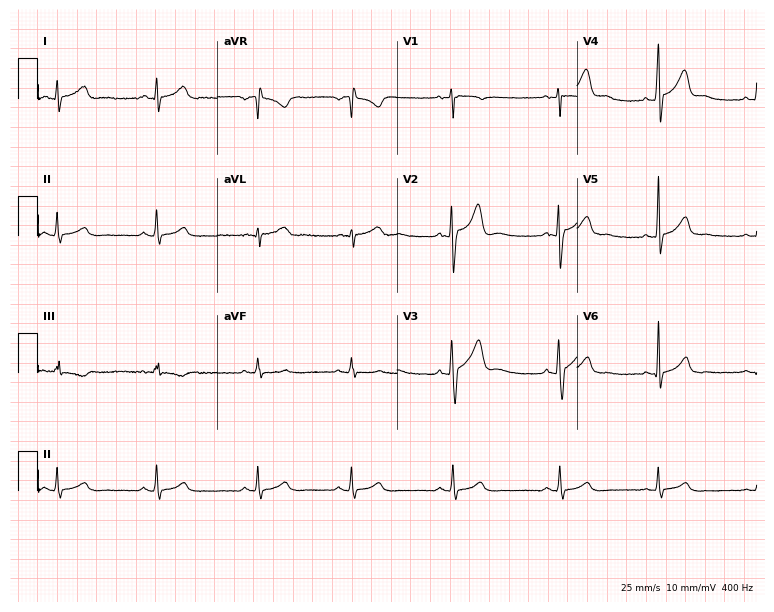
Resting 12-lead electrocardiogram. Patient: a man, 22 years old. Read as a normal ECG.